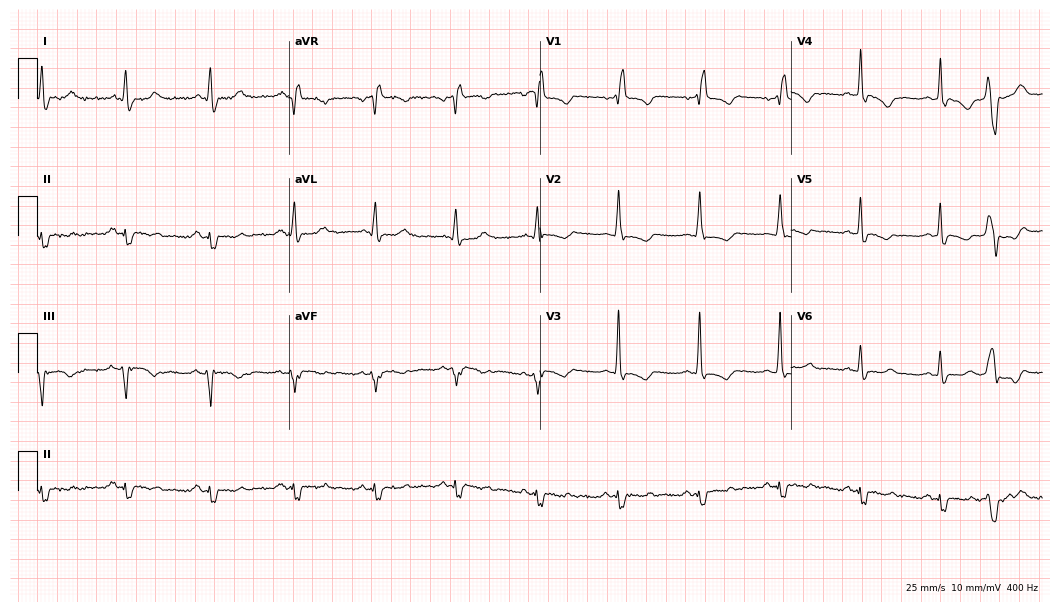
ECG — a 55-year-old woman. Screened for six findings — first-degree AV block, right bundle branch block, left bundle branch block, sinus bradycardia, atrial fibrillation, sinus tachycardia — none is recorded. Other findings, if any, are not listed.